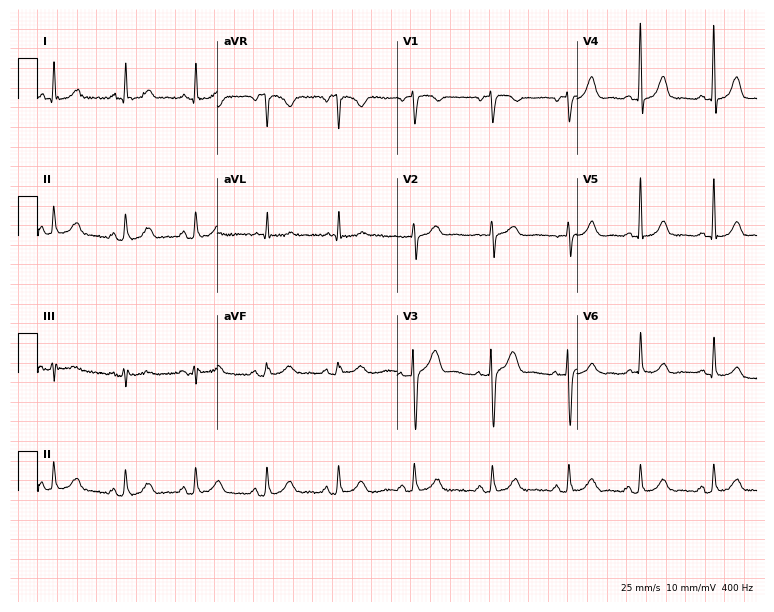
ECG — a 71-year-old woman. Labelled as a normal ECG.